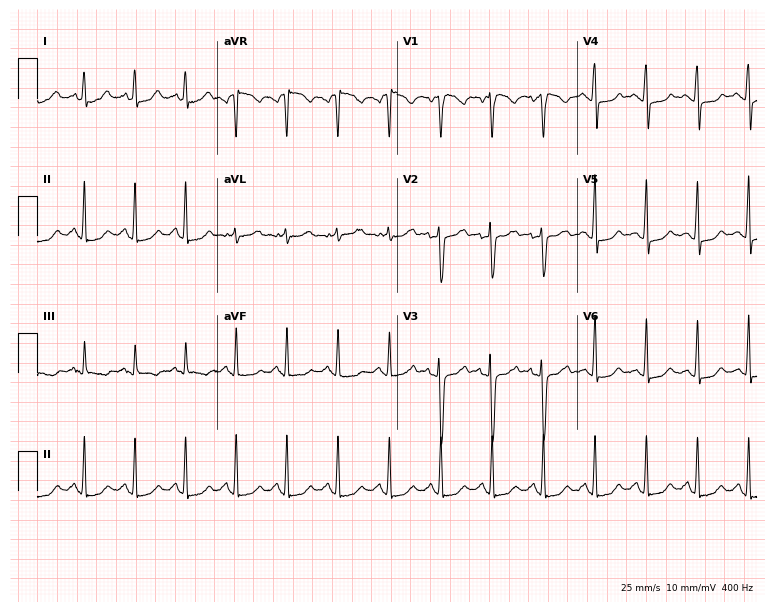
12-lead ECG (7.3-second recording at 400 Hz) from a 31-year-old female patient. Findings include sinus tachycardia (a sinus rate of 100 beats per minute or more).